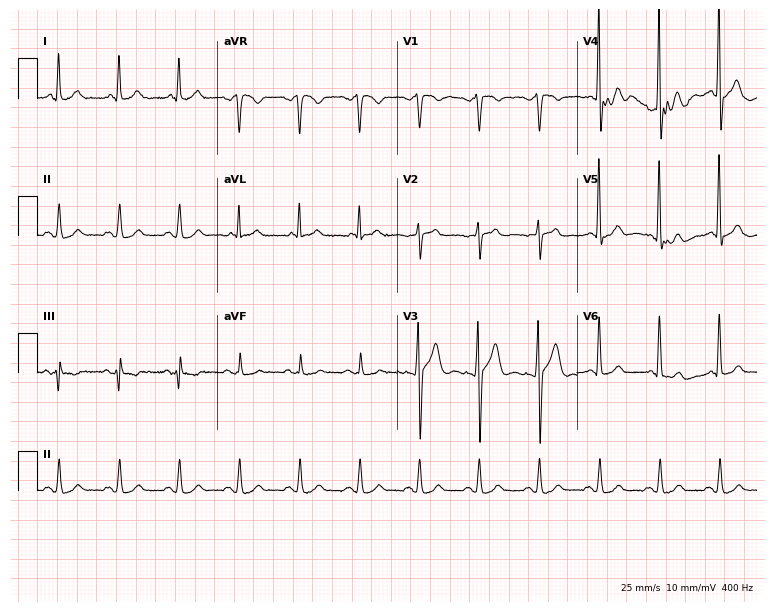
ECG (7.3-second recording at 400 Hz) — a man, 63 years old. Labelled as a normal ECG.